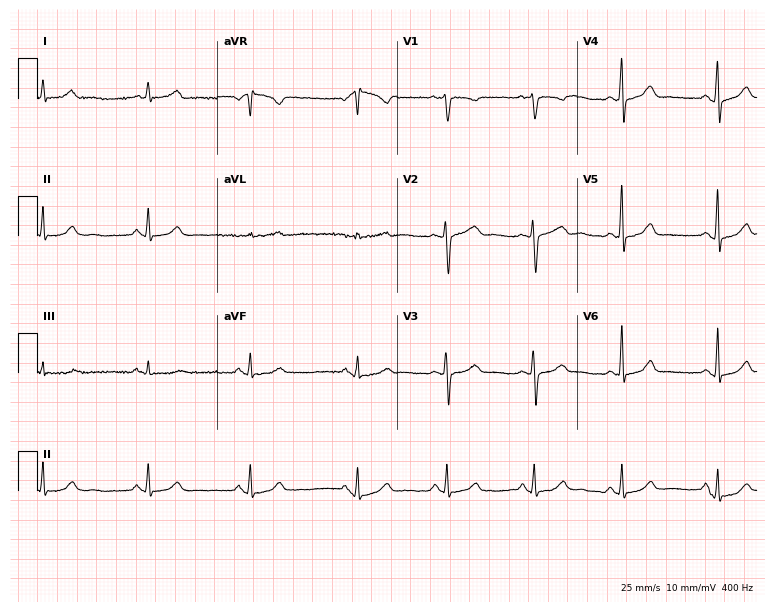
ECG (7.3-second recording at 400 Hz) — a 41-year-old female patient. Labelled as a normal ECG.